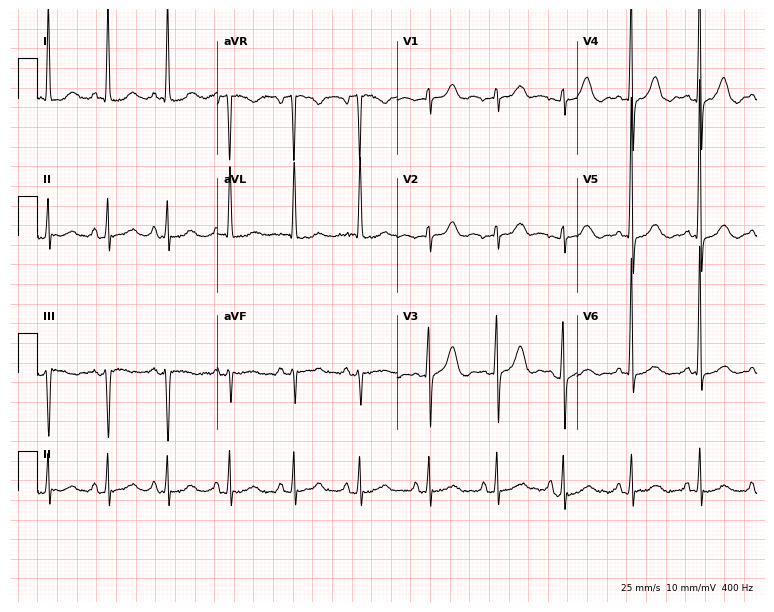
12-lead ECG (7.3-second recording at 400 Hz) from an 83-year-old female patient. Labelled as a normal ECG.